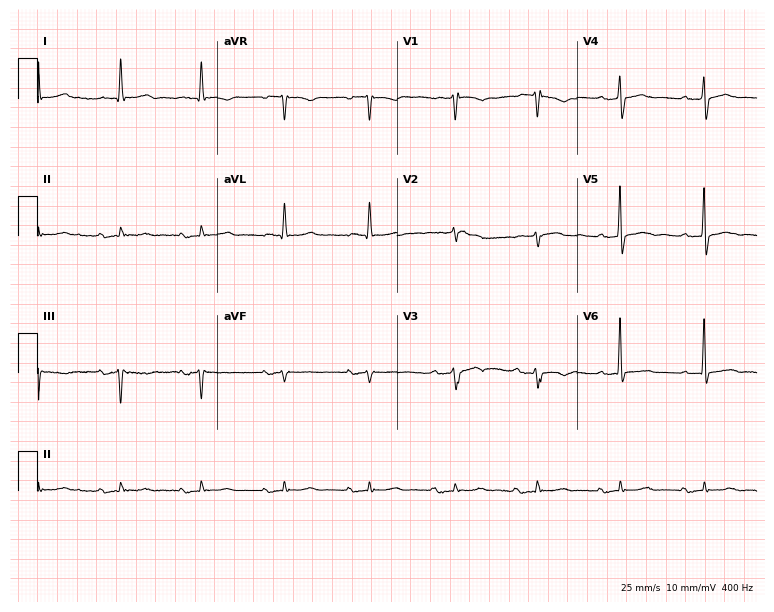
12-lead ECG from a 73-year-old male (7.3-second recording at 400 Hz). No first-degree AV block, right bundle branch block (RBBB), left bundle branch block (LBBB), sinus bradycardia, atrial fibrillation (AF) or sinus tachycardia recorded for this tracing. Only these six findings were labelled.